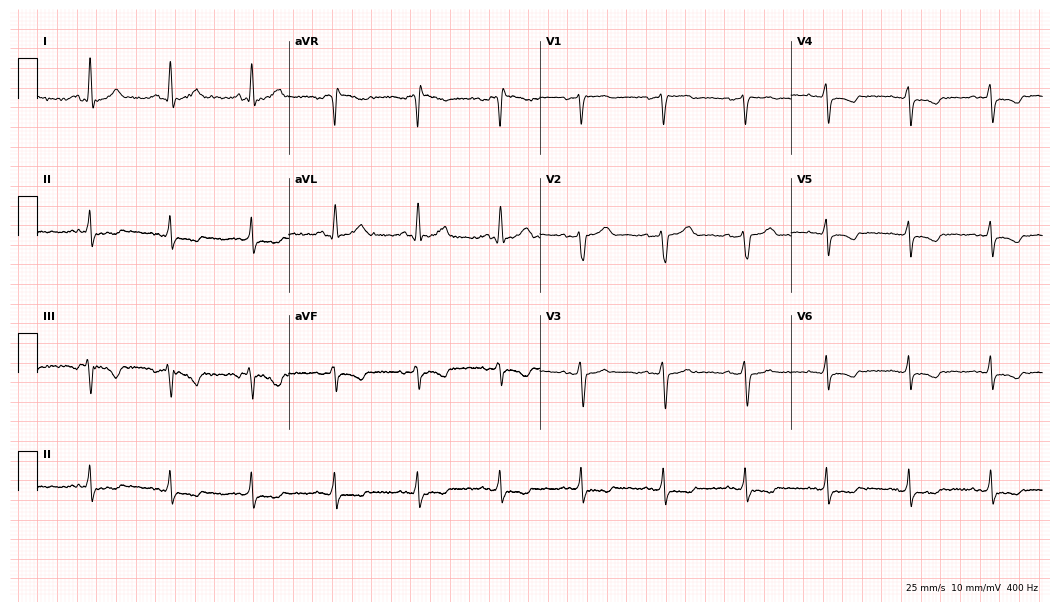
12-lead ECG (10.2-second recording at 400 Hz) from a woman, 50 years old. Screened for six findings — first-degree AV block, right bundle branch block, left bundle branch block, sinus bradycardia, atrial fibrillation, sinus tachycardia — none is recorded.